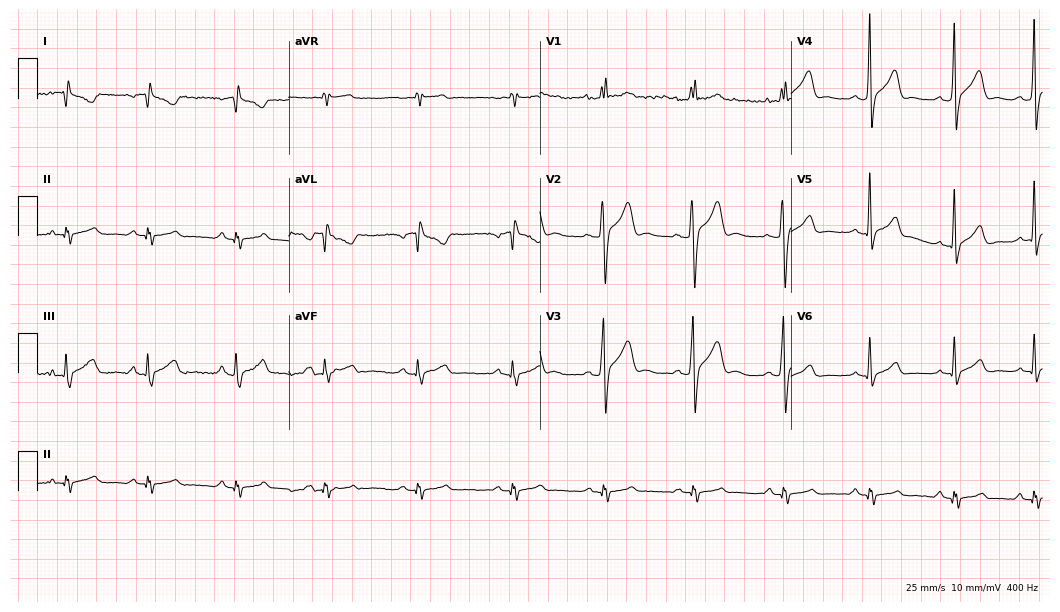
Standard 12-lead ECG recorded from a male, 19 years old. None of these six findings is recorded: first-degree AV block, right bundle branch block, left bundle branch block, sinus bradycardia, atrial fibrillation, sinus tachycardia.